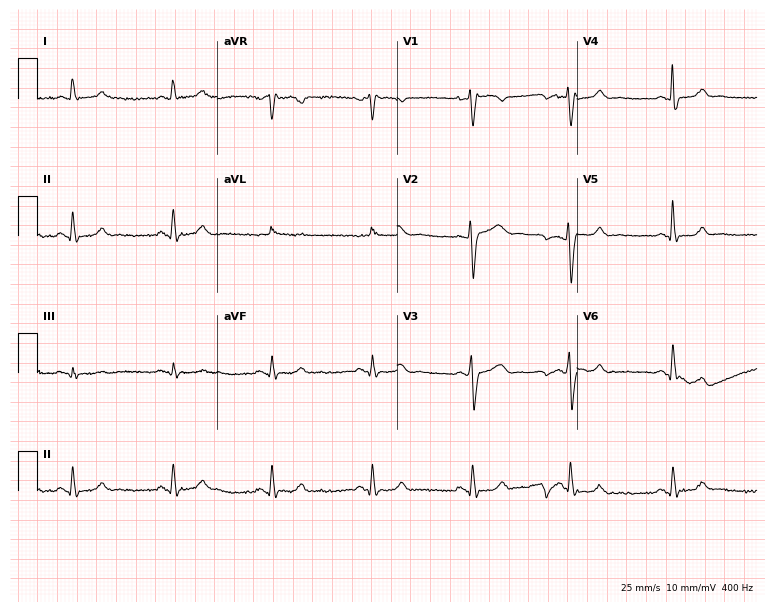
12-lead ECG from a 56-year-old female patient. Labelled as a normal ECG.